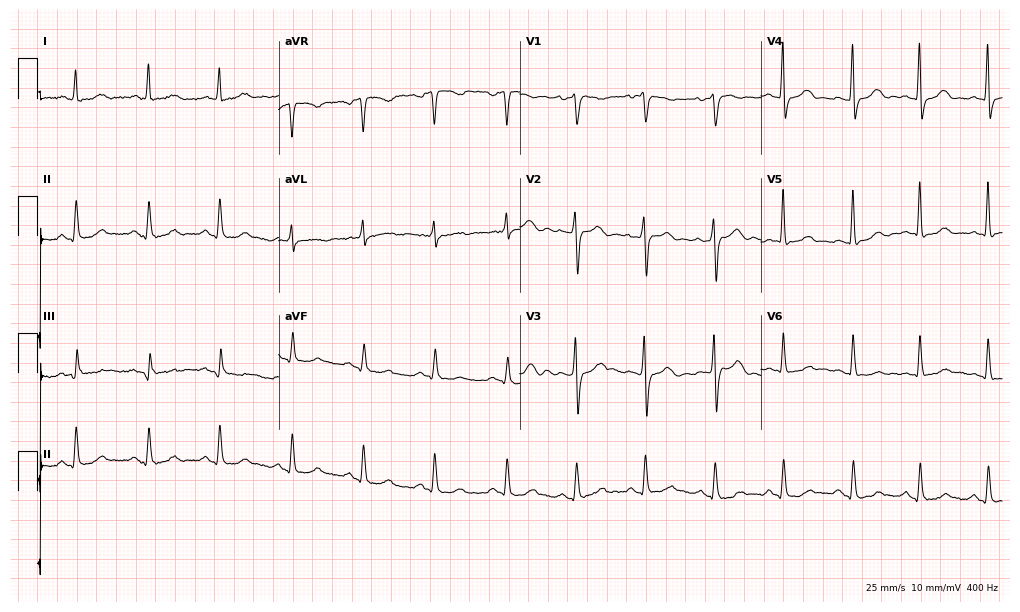
Standard 12-lead ECG recorded from a female, 60 years old (9.8-second recording at 400 Hz). Read as a normal ECG.